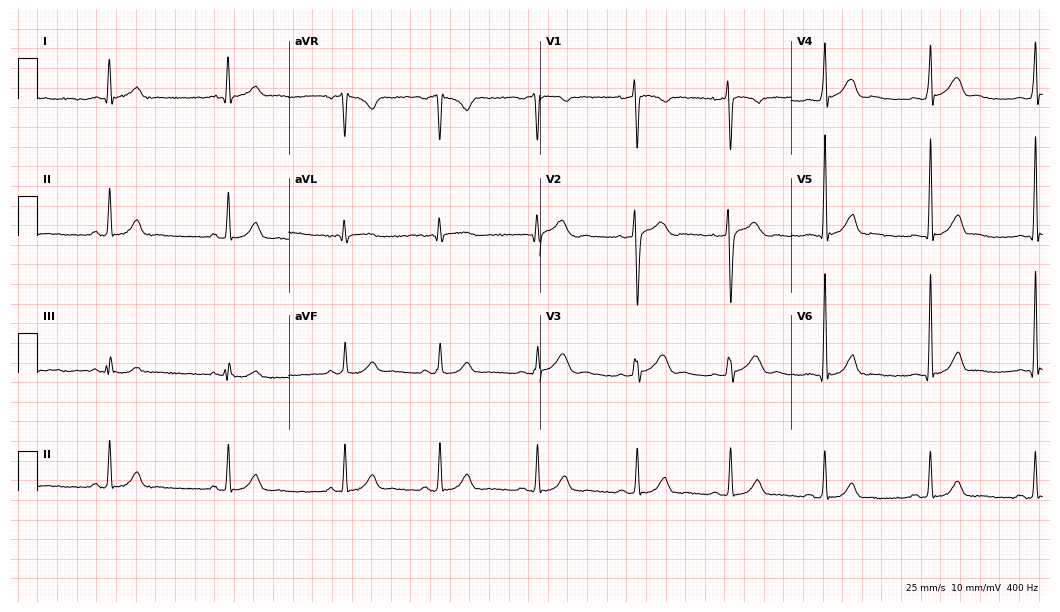
12-lead ECG from a 22-year-old male patient (10.2-second recording at 400 Hz). Recorded interpretation: within normal limits.